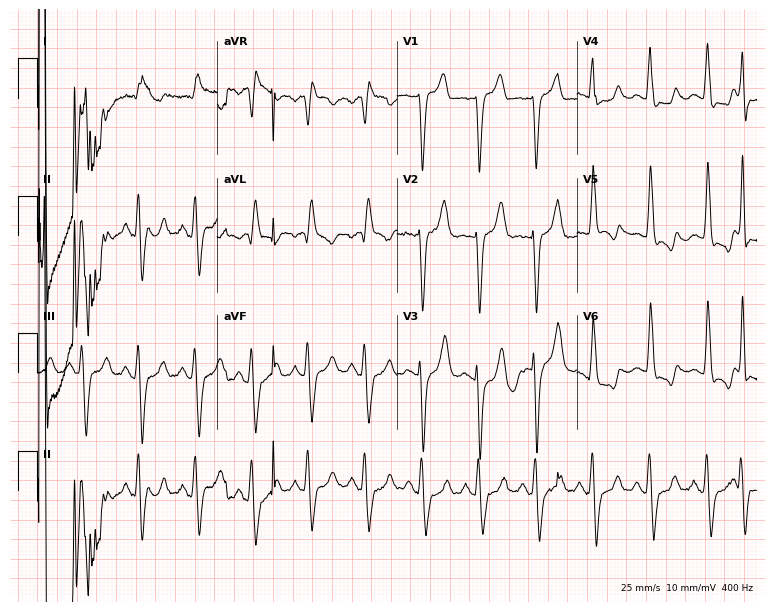
Electrocardiogram, a man, 76 years old. Interpretation includes sinus tachycardia (a sinus rate of 100 beats per minute or more).